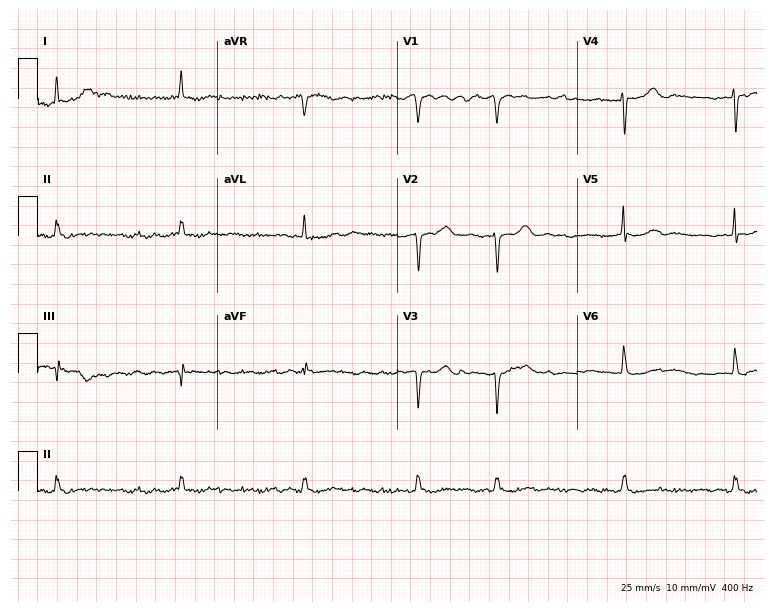
Standard 12-lead ECG recorded from a female patient, 78 years old. The tracing shows atrial fibrillation.